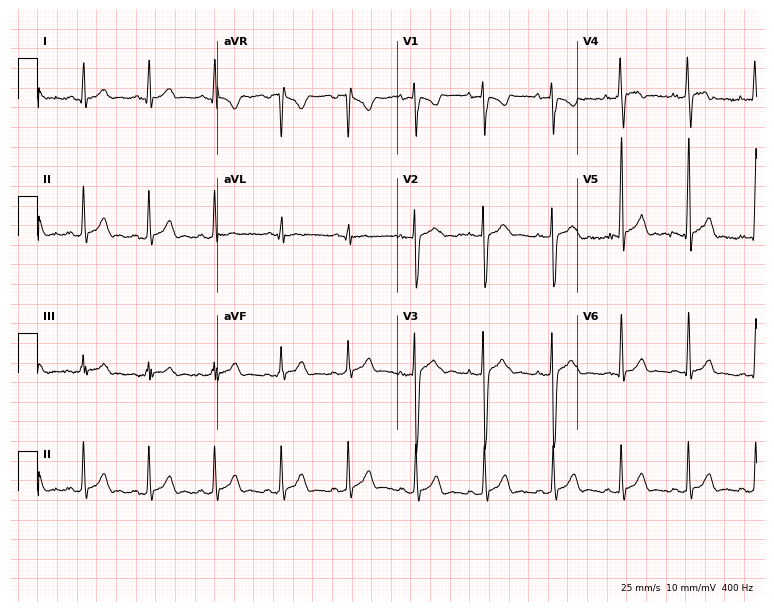
ECG (7.3-second recording at 400 Hz) — a 17-year-old man. Labelled as a normal ECG.